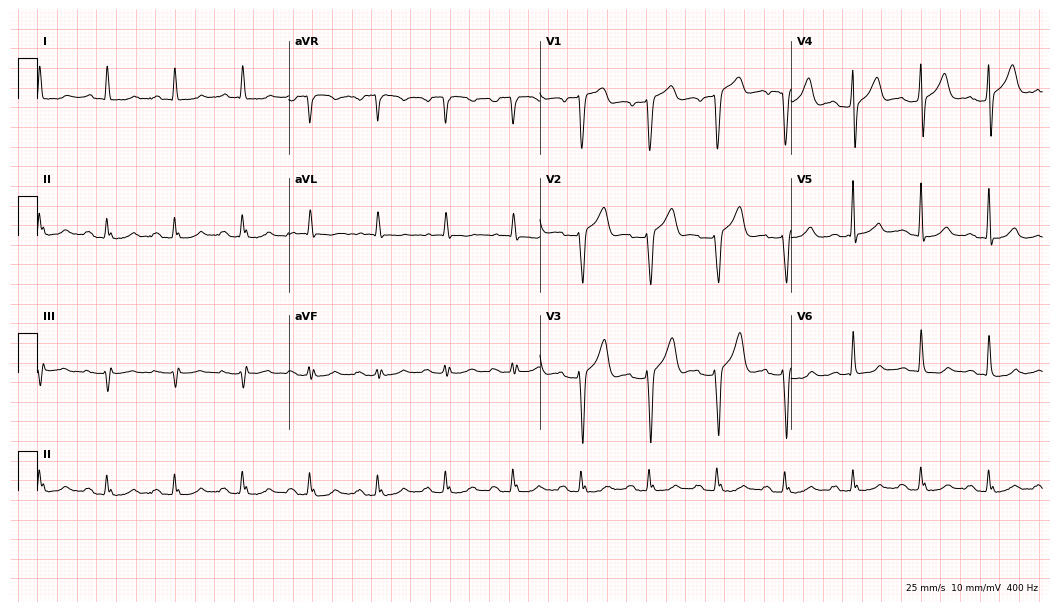
12-lead ECG from a 64-year-old male. No first-degree AV block, right bundle branch block, left bundle branch block, sinus bradycardia, atrial fibrillation or sinus tachycardia recorded for this tracing.